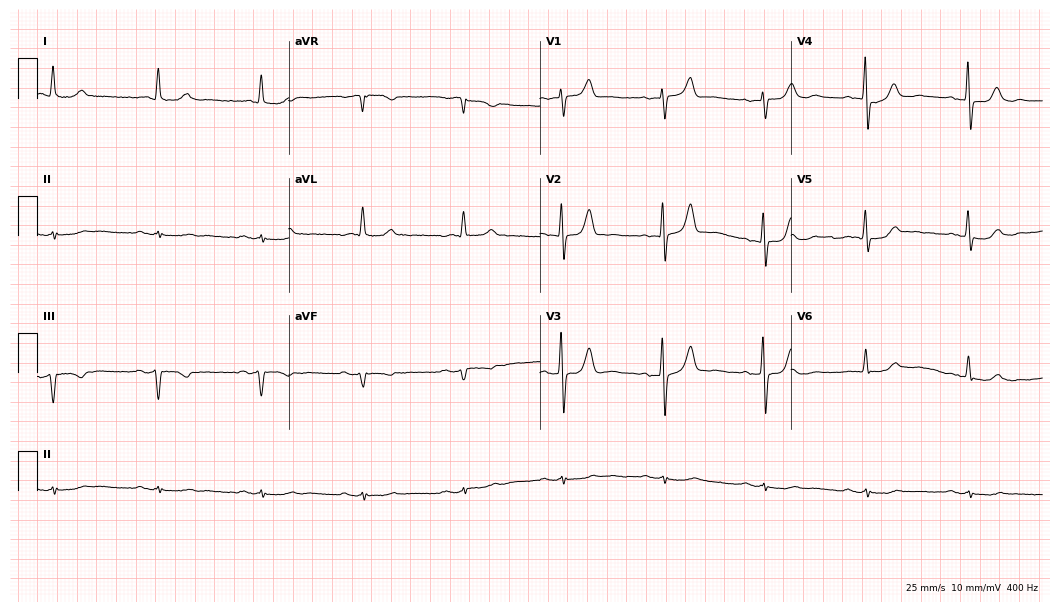
ECG (10.2-second recording at 400 Hz) — a 70-year-old male patient. Labelled as a normal ECG.